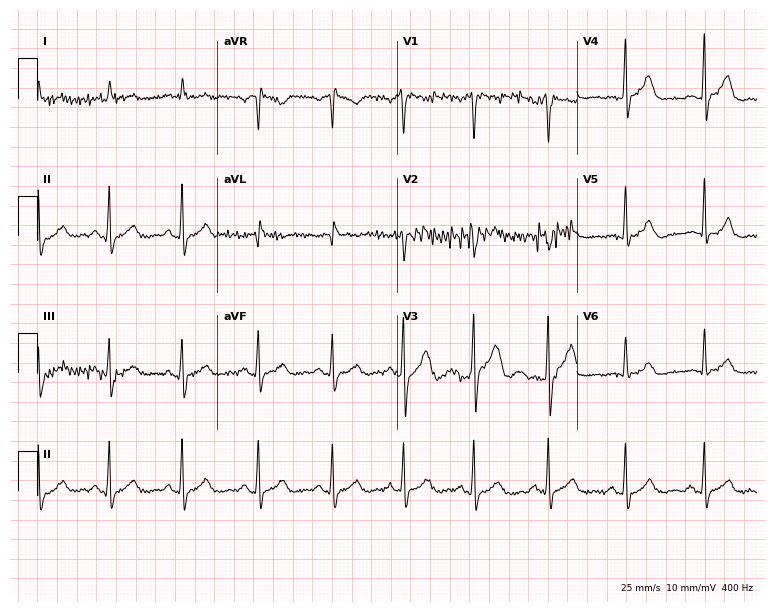
Resting 12-lead electrocardiogram. Patient: a 48-year-old man. None of these six findings is recorded: first-degree AV block, right bundle branch block (RBBB), left bundle branch block (LBBB), sinus bradycardia, atrial fibrillation (AF), sinus tachycardia.